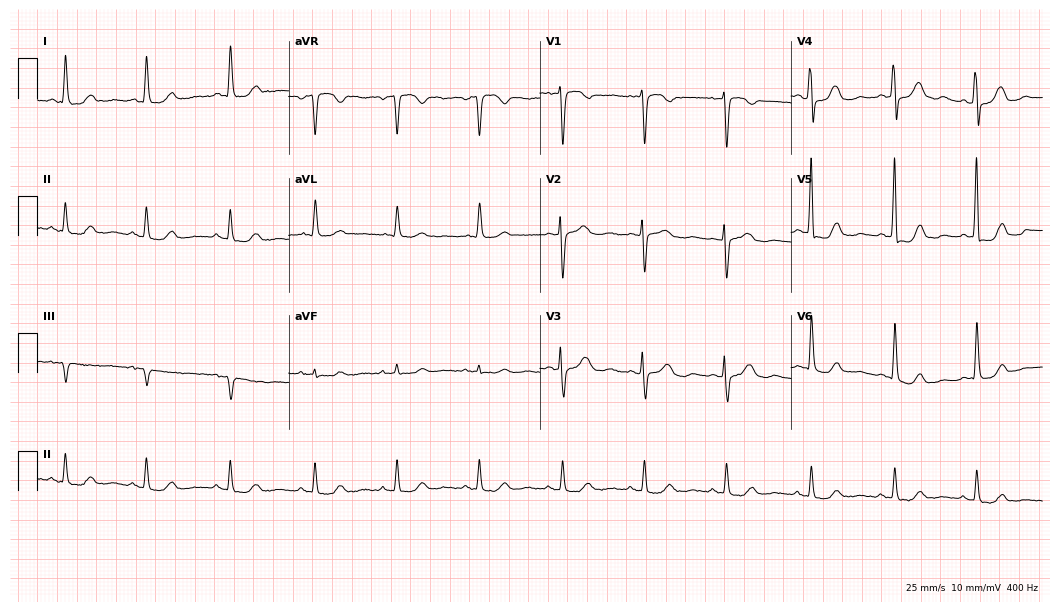
Resting 12-lead electrocardiogram (10.2-second recording at 400 Hz). Patient: a female, 84 years old. Read as a normal ECG.